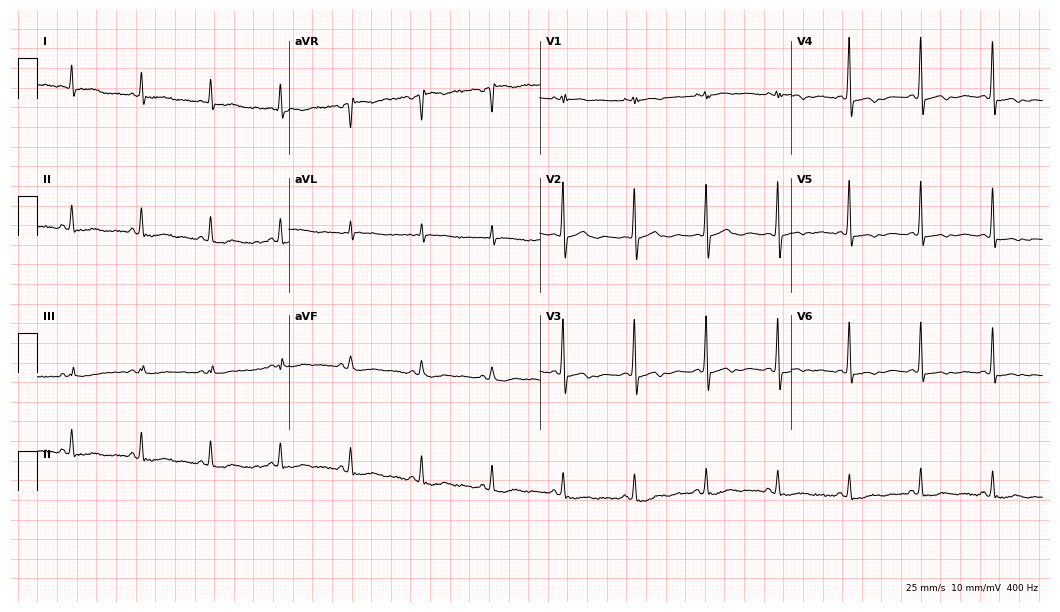
Resting 12-lead electrocardiogram (10.2-second recording at 400 Hz). Patient: a male, 75 years old. None of these six findings is recorded: first-degree AV block, right bundle branch block, left bundle branch block, sinus bradycardia, atrial fibrillation, sinus tachycardia. Findings outside these six are not listed.